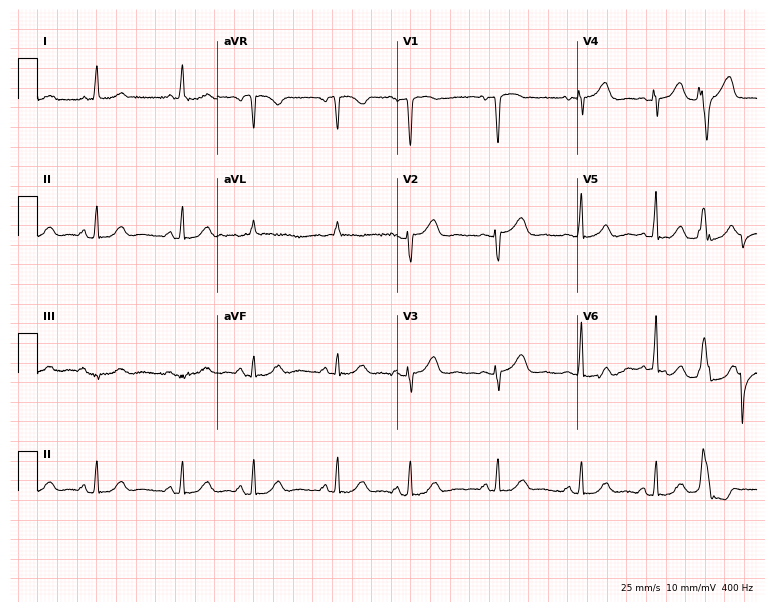
Standard 12-lead ECG recorded from a female, 59 years old. None of these six findings is recorded: first-degree AV block, right bundle branch block (RBBB), left bundle branch block (LBBB), sinus bradycardia, atrial fibrillation (AF), sinus tachycardia.